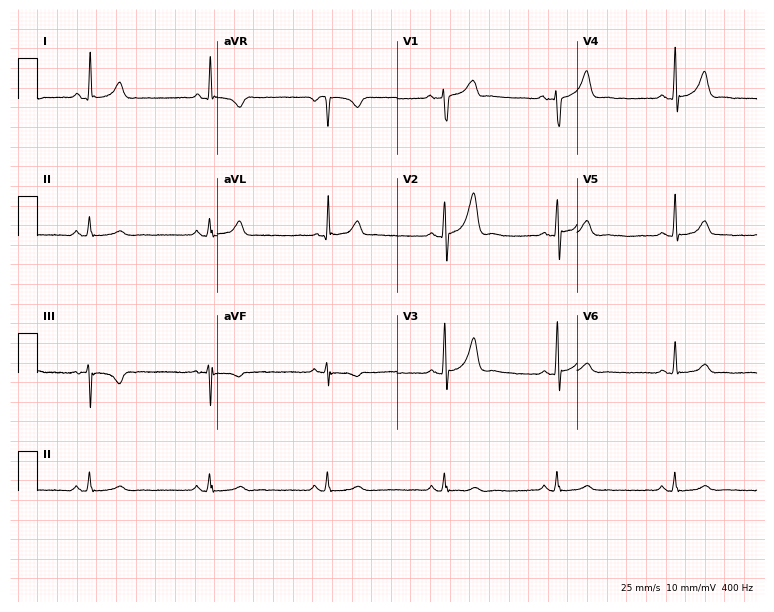
12-lead ECG from a 47-year-old man (7.3-second recording at 400 Hz). Shows sinus bradycardia (a sinus rate of 50 beats per minute or less).